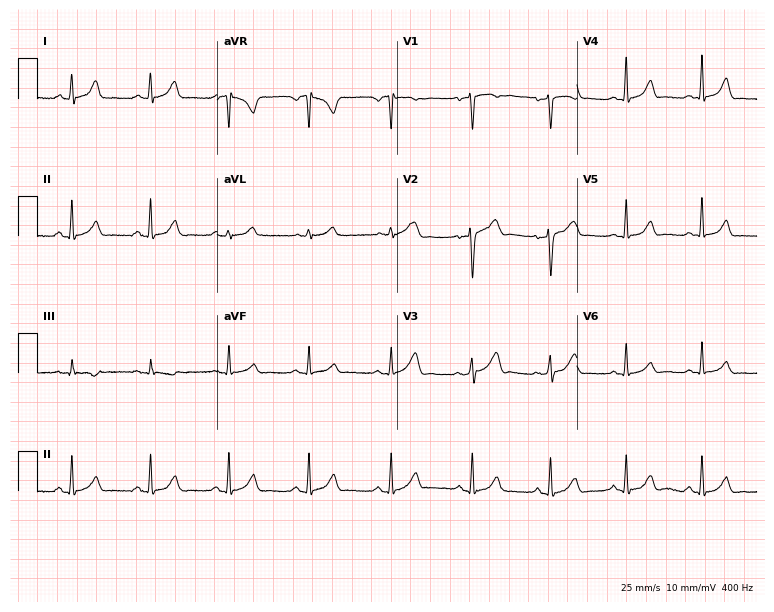
Electrocardiogram (7.3-second recording at 400 Hz), a woman, 41 years old. Overall reading on record: normal ECG.